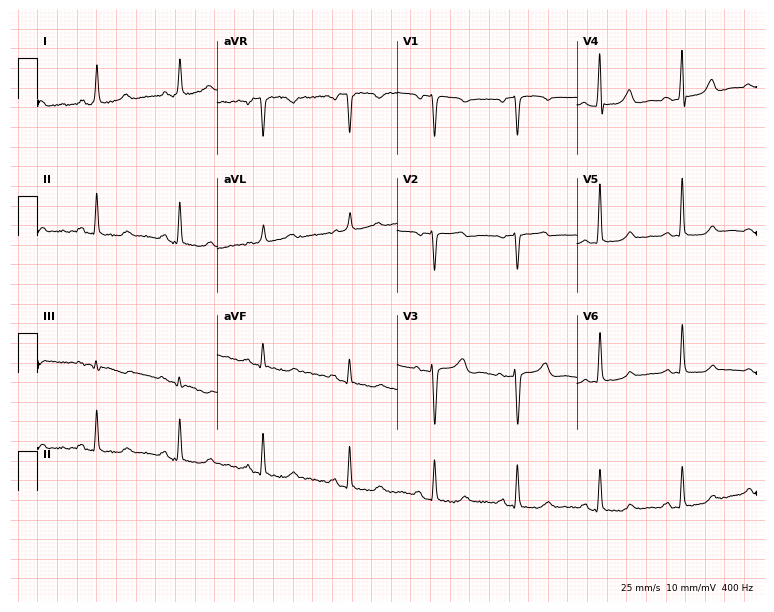
Electrocardiogram (7.3-second recording at 400 Hz), a 71-year-old female patient. Of the six screened findings (first-degree AV block, right bundle branch block (RBBB), left bundle branch block (LBBB), sinus bradycardia, atrial fibrillation (AF), sinus tachycardia), none is recorded. Only these six findings were labelled.